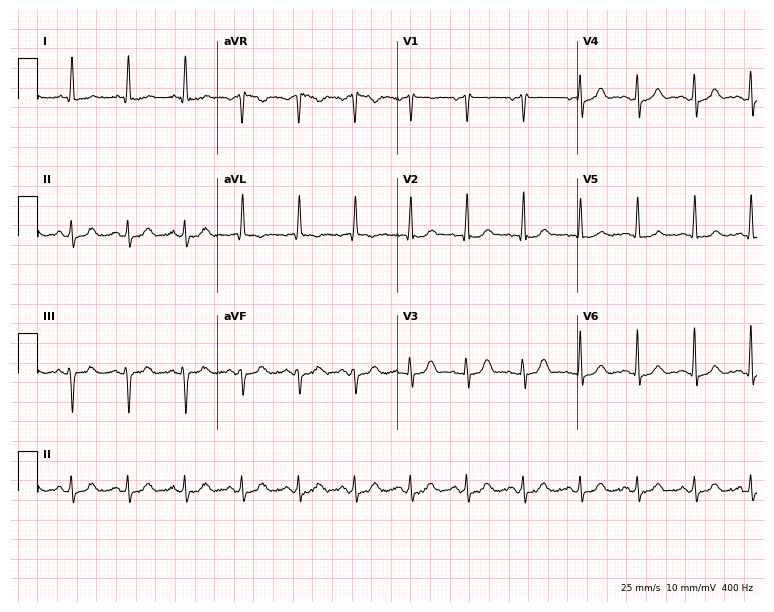
Electrocardiogram, a 71-year-old female. Interpretation includes sinus tachycardia (a sinus rate of 100 beats per minute or more).